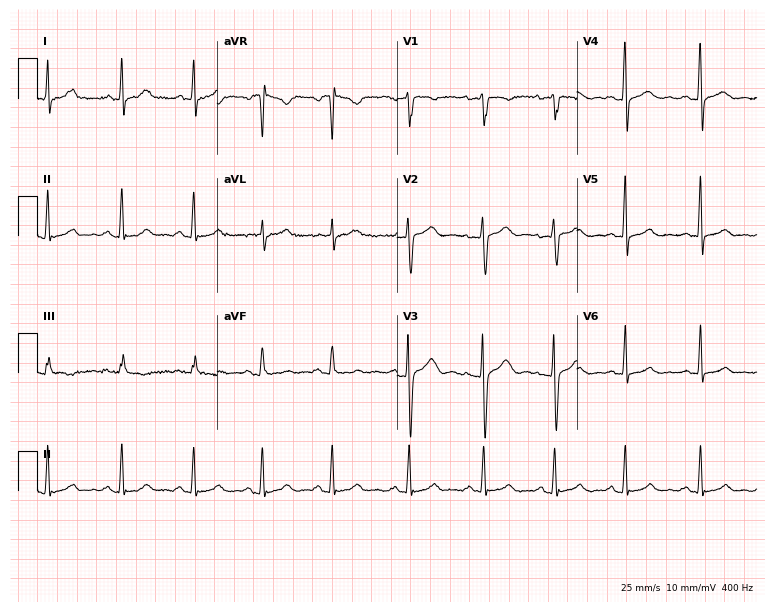
Resting 12-lead electrocardiogram. Patient: a female, 21 years old. Read as a normal ECG.